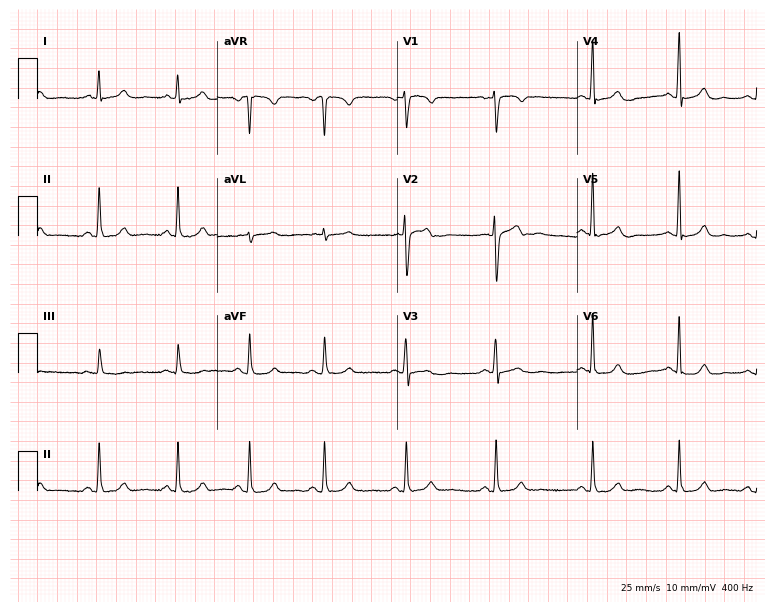
Resting 12-lead electrocardiogram (7.3-second recording at 400 Hz). Patient: a 37-year-old female. Read as a normal ECG.